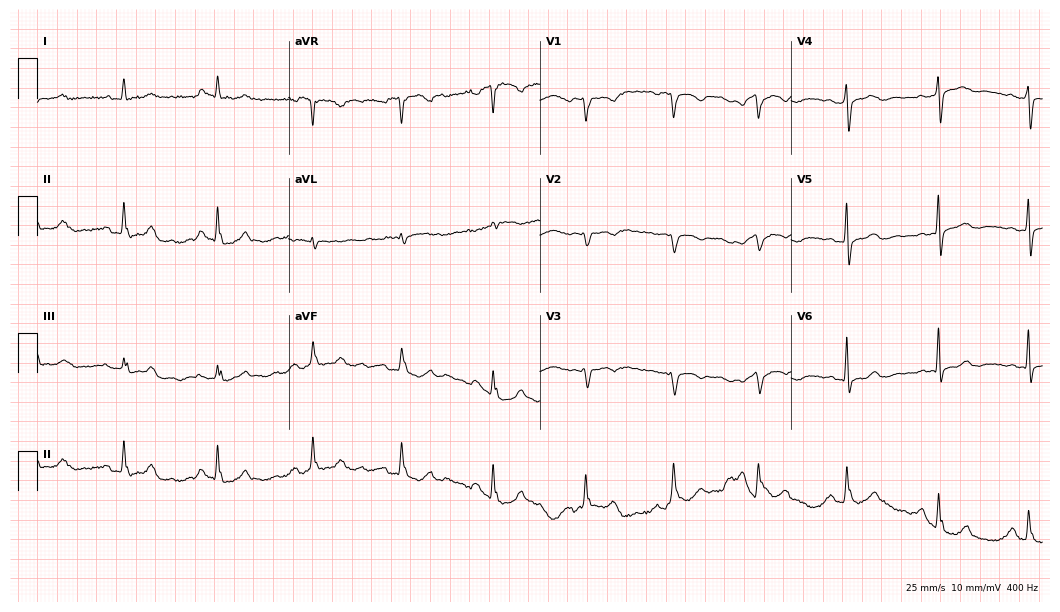
ECG — a 76-year-old female patient. Screened for six findings — first-degree AV block, right bundle branch block, left bundle branch block, sinus bradycardia, atrial fibrillation, sinus tachycardia — none is recorded.